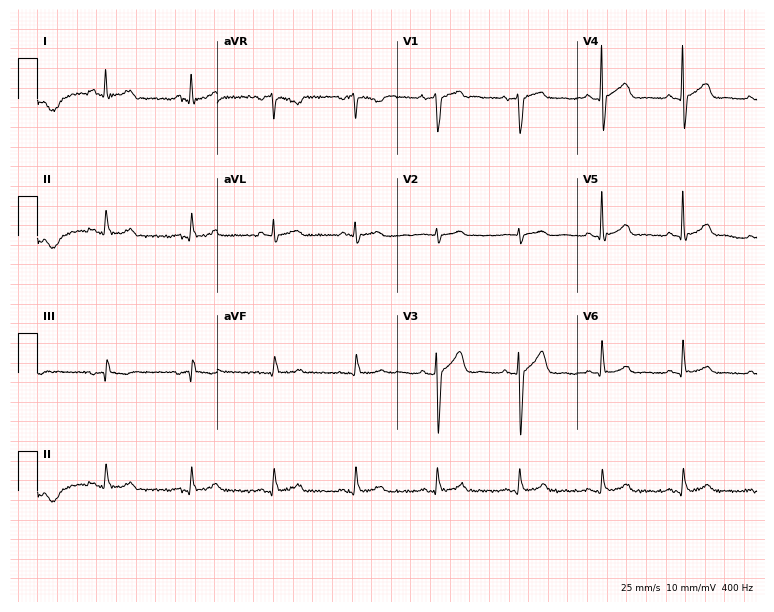
ECG (7.3-second recording at 400 Hz) — a male patient, 54 years old. Labelled as a normal ECG.